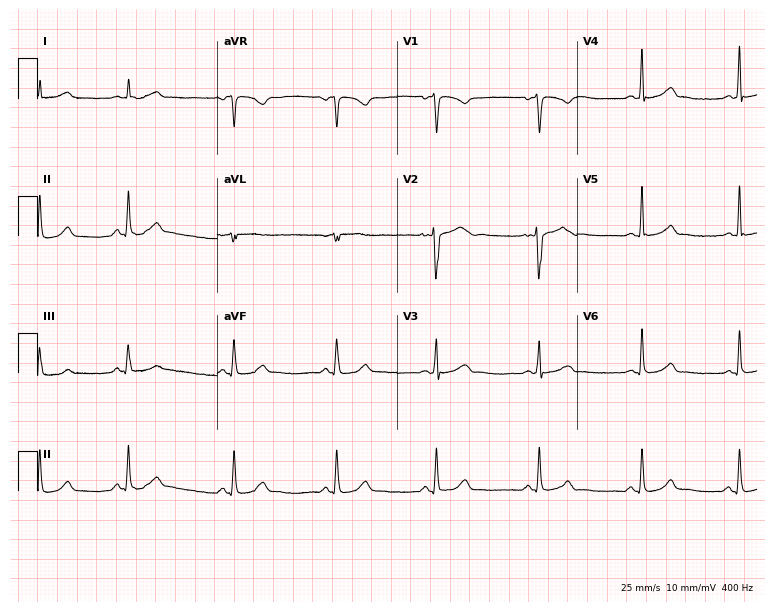
12-lead ECG from a female patient, 21 years old (7.3-second recording at 400 Hz). Recorded interpretation: within normal limits.